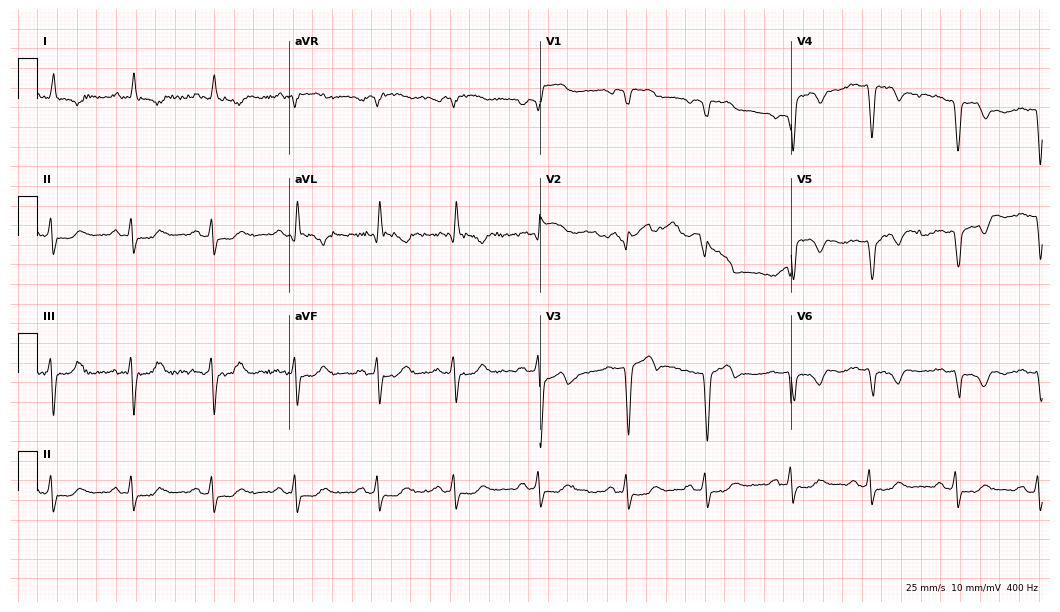
ECG (10.2-second recording at 400 Hz) — a 76-year-old male patient. Screened for six findings — first-degree AV block, right bundle branch block (RBBB), left bundle branch block (LBBB), sinus bradycardia, atrial fibrillation (AF), sinus tachycardia — none is recorded. Only these six findings were labelled.